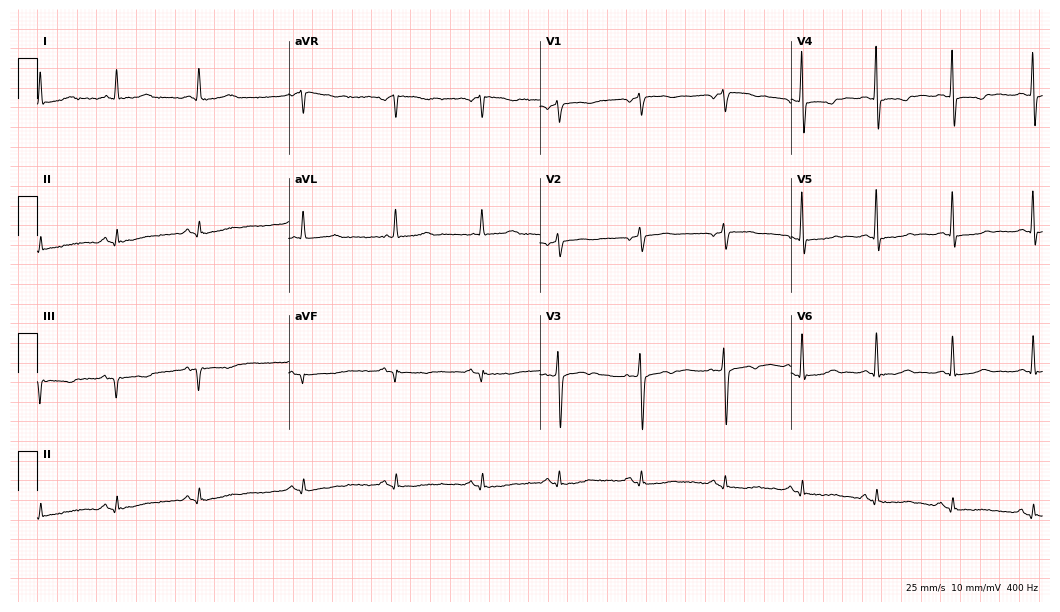
12-lead ECG from a female, 61 years old. No first-degree AV block, right bundle branch block, left bundle branch block, sinus bradycardia, atrial fibrillation or sinus tachycardia recorded for this tracing. Findings outside these six are not listed.